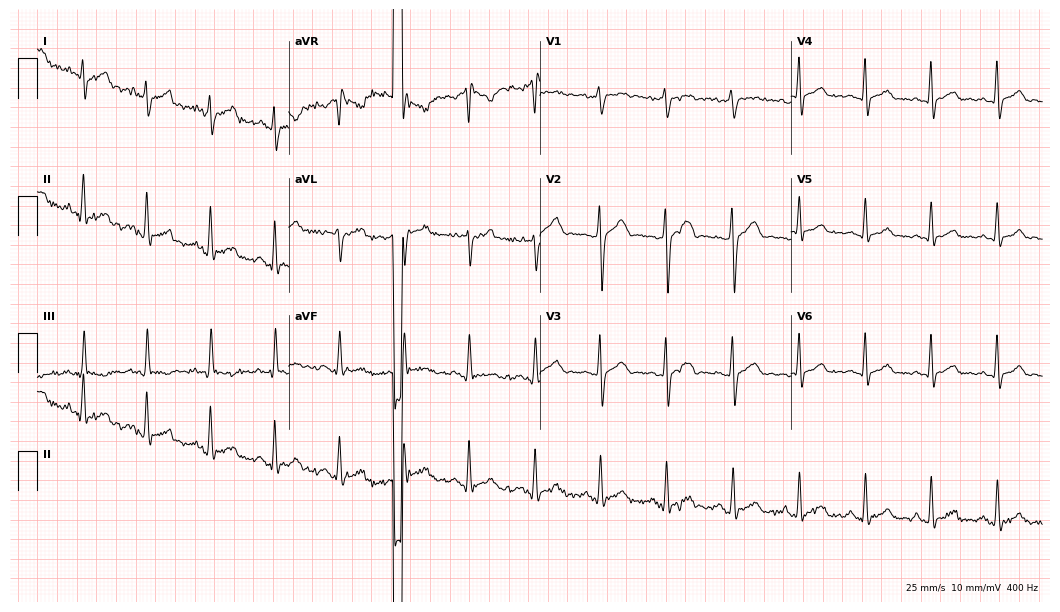
ECG — a 21-year-old male. Labelled as a normal ECG.